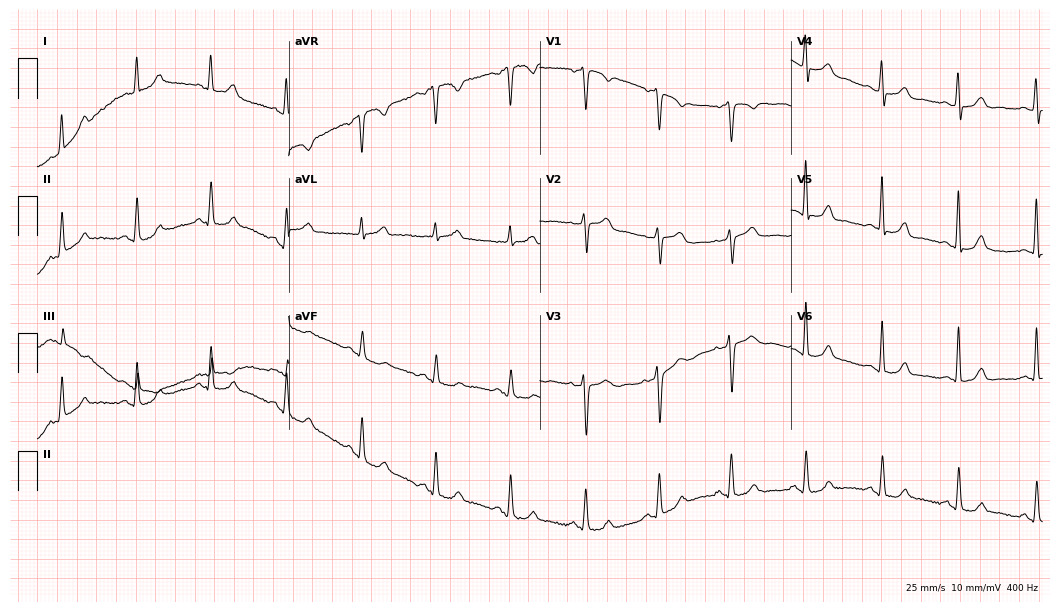
12-lead ECG from a 50-year-old woman. Labelled as a normal ECG.